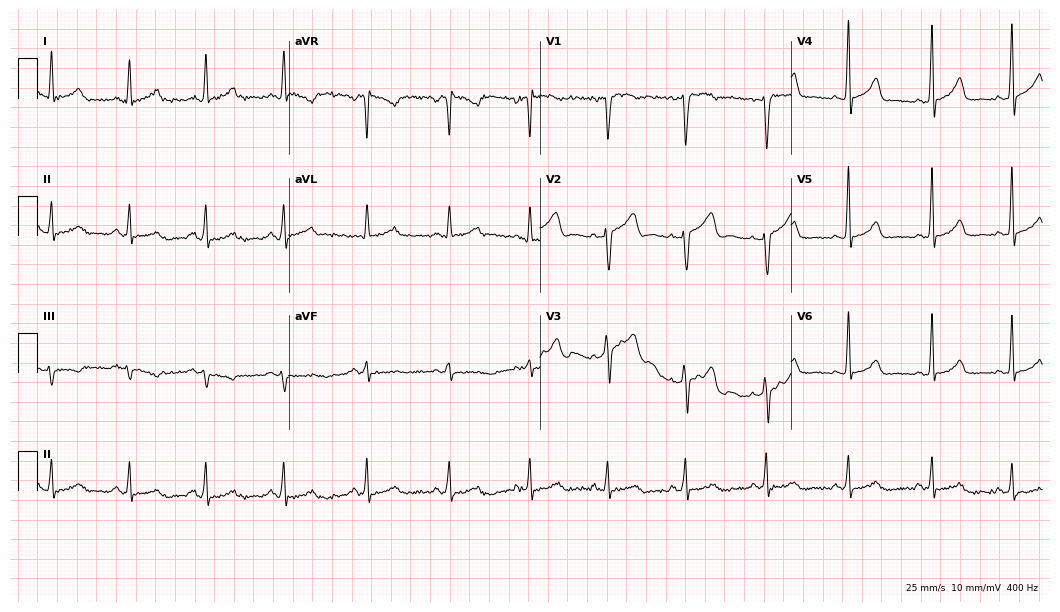
Electrocardiogram, a 43-year-old female. Overall reading on record: normal ECG.